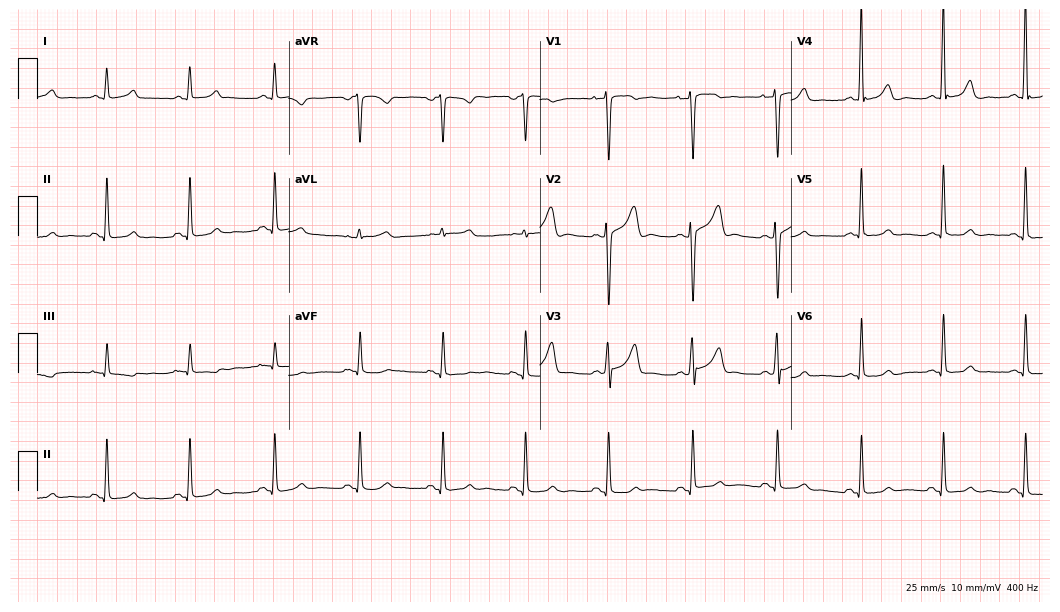
Standard 12-lead ECG recorded from a female, 39 years old. None of these six findings is recorded: first-degree AV block, right bundle branch block, left bundle branch block, sinus bradycardia, atrial fibrillation, sinus tachycardia.